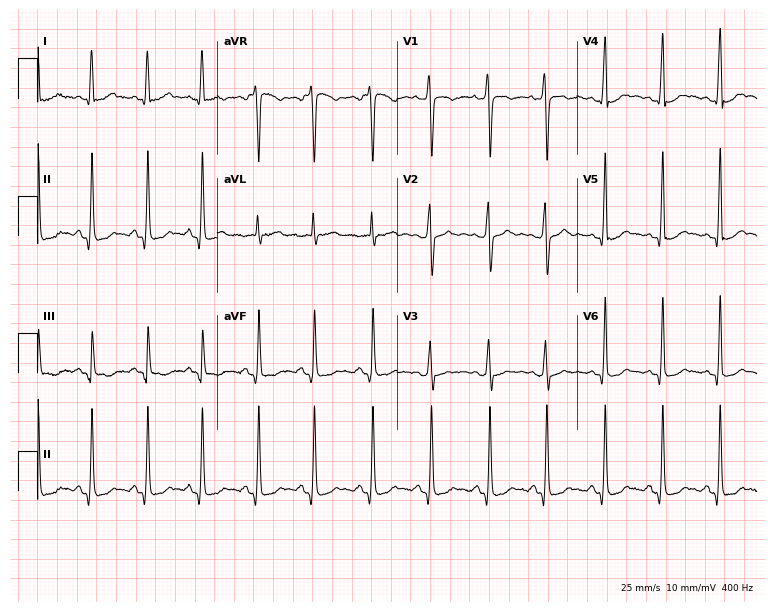
12-lead ECG from a 20-year-old female. Recorded interpretation: within normal limits.